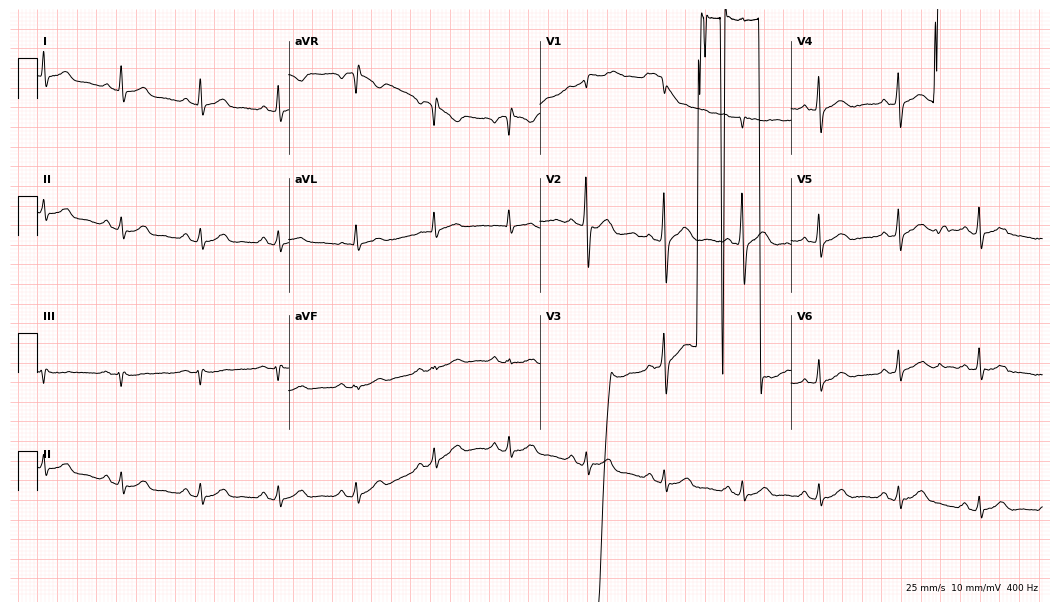
12-lead ECG from a 57-year-old male patient (10.2-second recording at 400 Hz). Recorded interpretation: within normal limits.